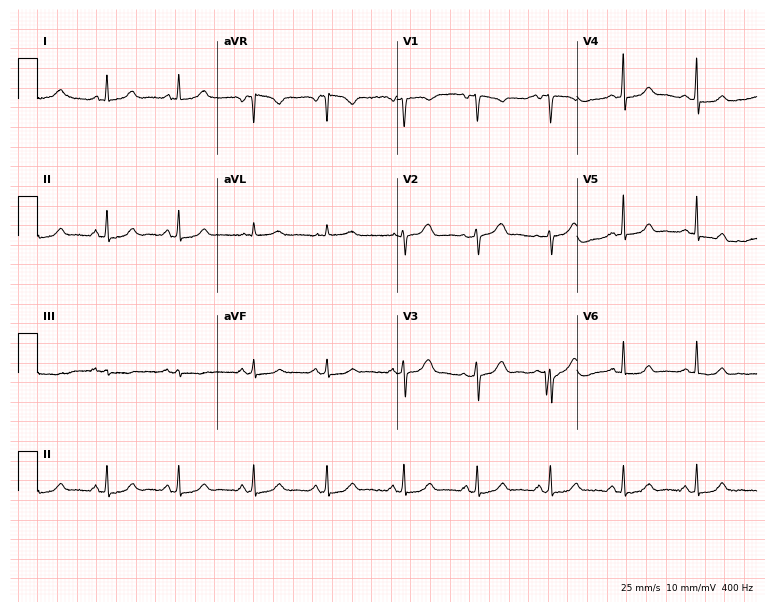
12-lead ECG from a female patient, 56 years old. Screened for six findings — first-degree AV block, right bundle branch block, left bundle branch block, sinus bradycardia, atrial fibrillation, sinus tachycardia — none is recorded.